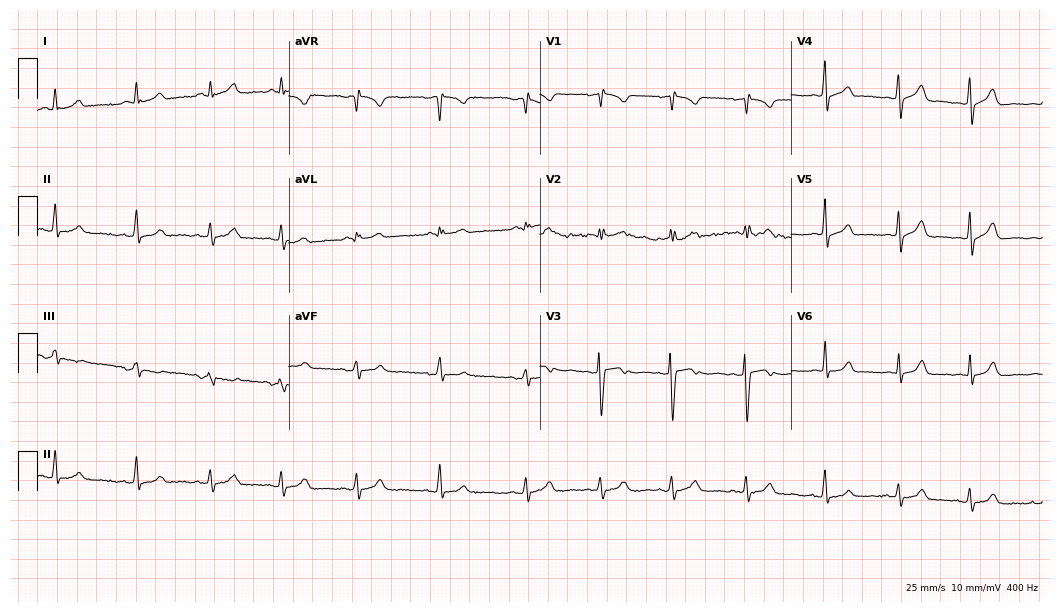
Electrocardiogram, a woman, 20 years old. Overall reading on record: normal ECG.